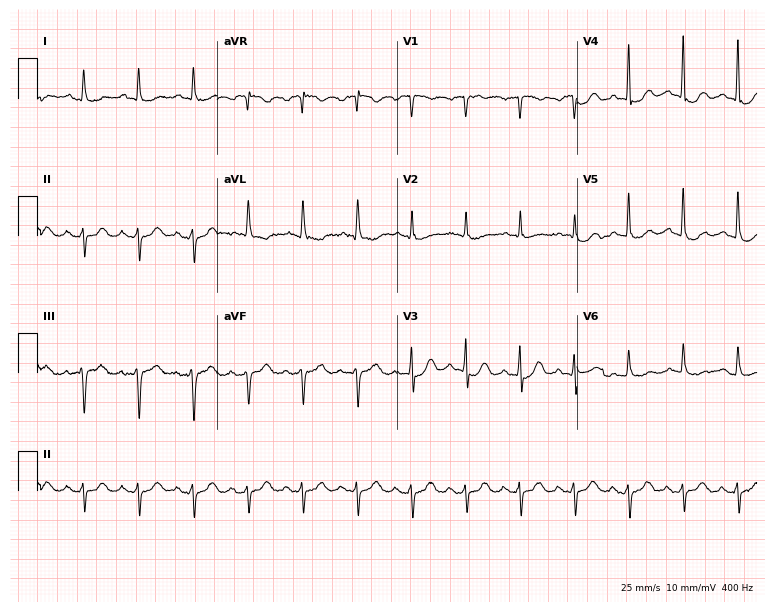
12-lead ECG (7.3-second recording at 400 Hz) from a 78-year-old man. Findings include sinus tachycardia (a sinus rate of 100 beats per minute or more).